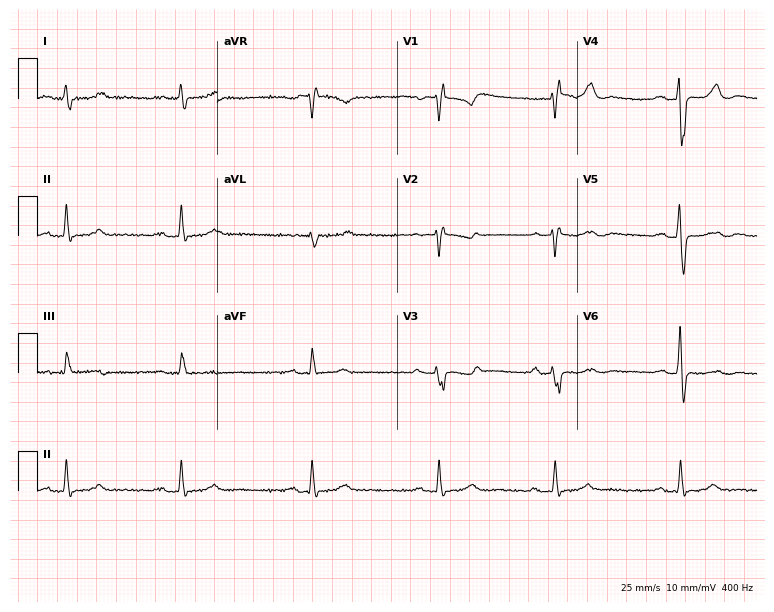
Resting 12-lead electrocardiogram. Patient: an 80-year-old man. The tracing shows right bundle branch block (RBBB), sinus bradycardia (a sinus rate of 50 beats per minute or less).